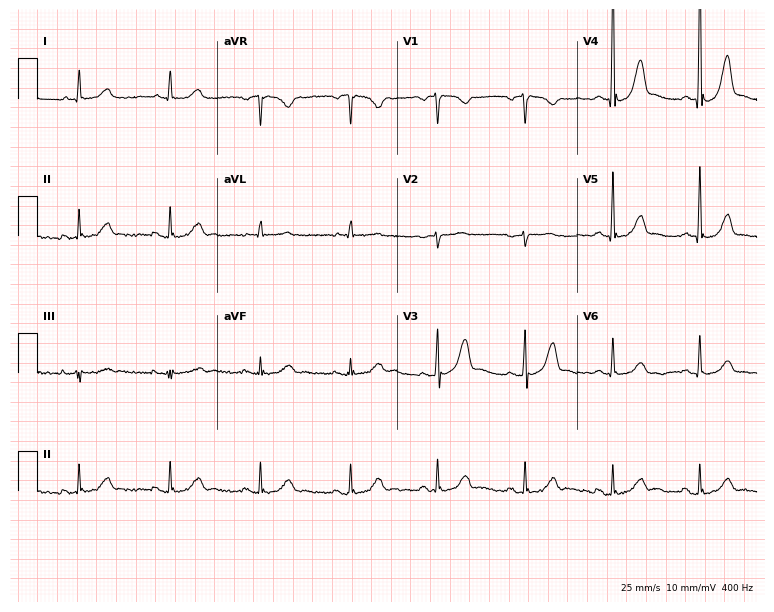
12-lead ECG from a 62-year-old woman (7.3-second recording at 400 Hz). Recorded interpretation: within normal limits.